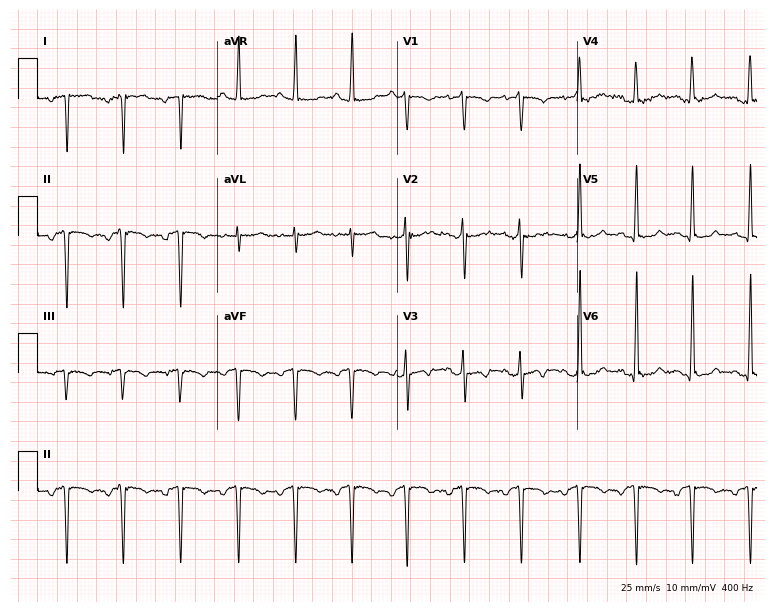
12-lead ECG (7.3-second recording at 400 Hz) from a 19-year-old female. Screened for six findings — first-degree AV block, right bundle branch block, left bundle branch block, sinus bradycardia, atrial fibrillation, sinus tachycardia — none is recorded. Only these six findings were labelled.